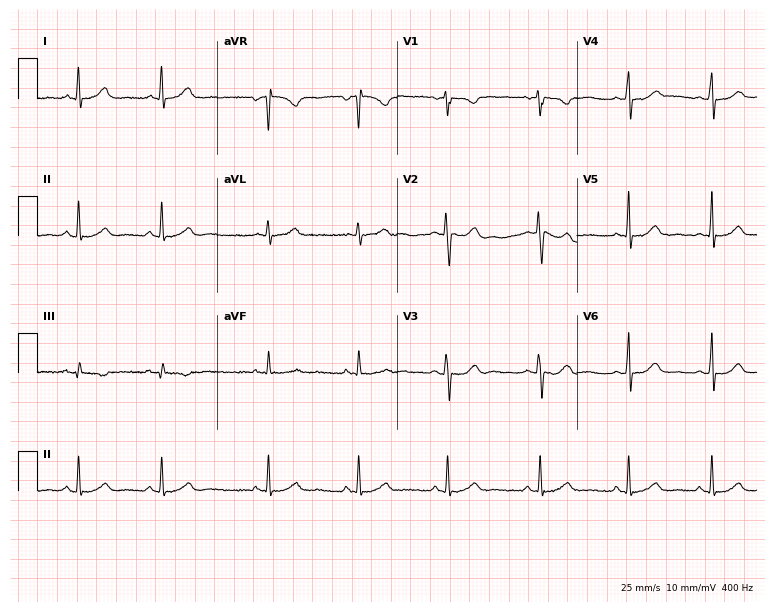
Resting 12-lead electrocardiogram (7.3-second recording at 400 Hz). Patient: a female, 28 years old. Read as a normal ECG.